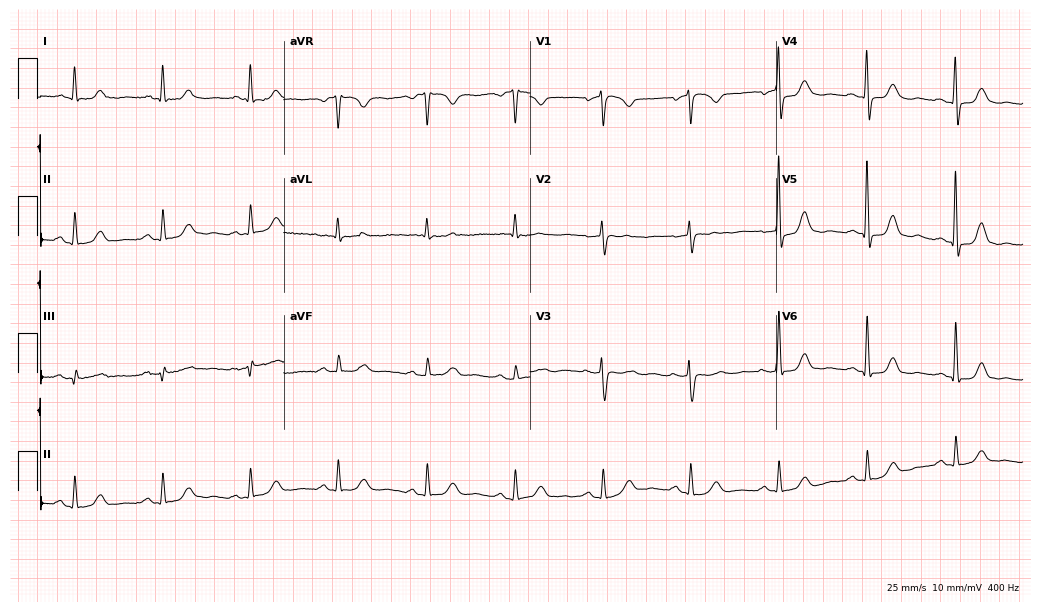
12-lead ECG from a woman, 74 years old. Recorded interpretation: within normal limits.